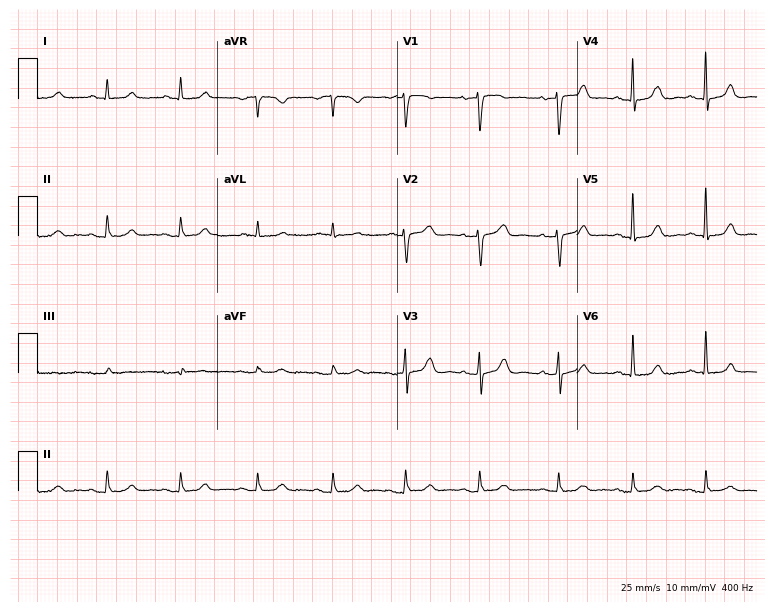
Electrocardiogram (7.3-second recording at 400 Hz), a 75-year-old female patient. Of the six screened findings (first-degree AV block, right bundle branch block, left bundle branch block, sinus bradycardia, atrial fibrillation, sinus tachycardia), none is recorded. Only these six findings were labelled.